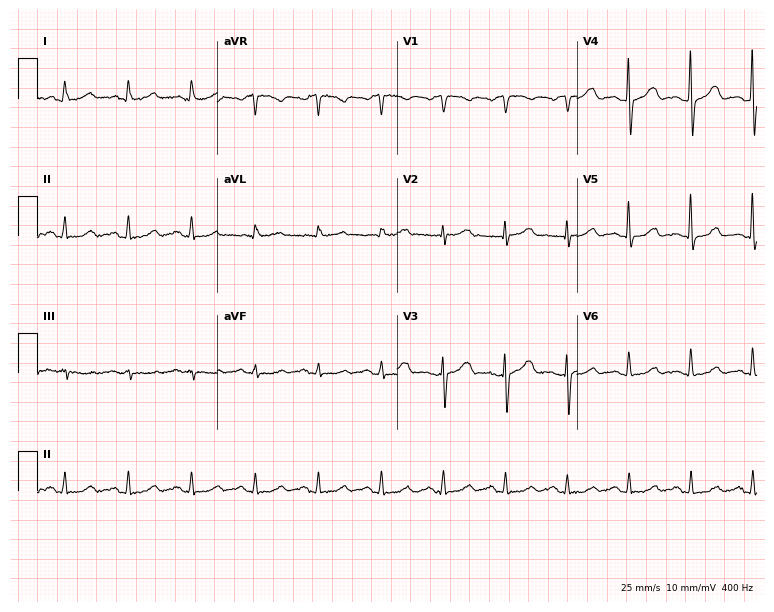
Resting 12-lead electrocardiogram (7.3-second recording at 400 Hz). Patient: a 78-year-old man. Read as a normal ECG.